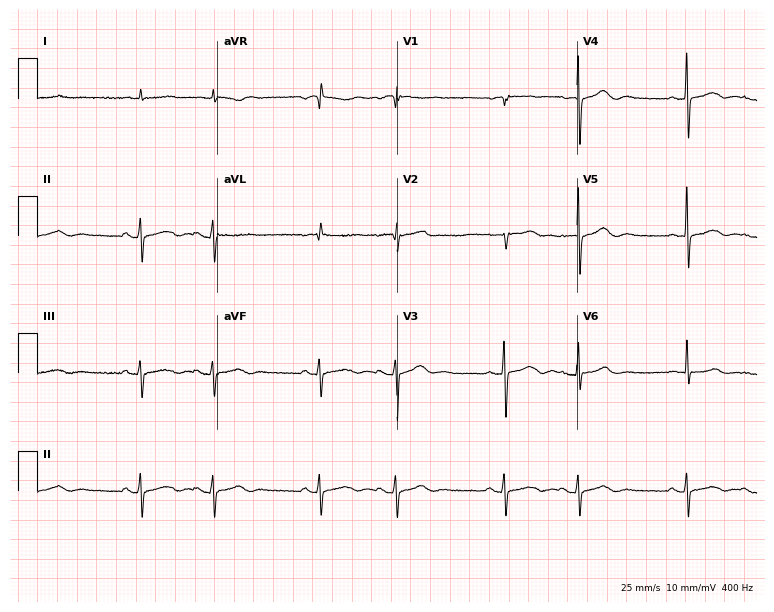
12-lead ECG from an 82-year-old man (7.3-second recording at 400 Hz). No first-degree AV block, right bundle branch block (RBBB), left bundle branch block (LBBB), sinus bradycardia, atrial fibrillation (AF) or sinus tachycardia recorded for this tracing.